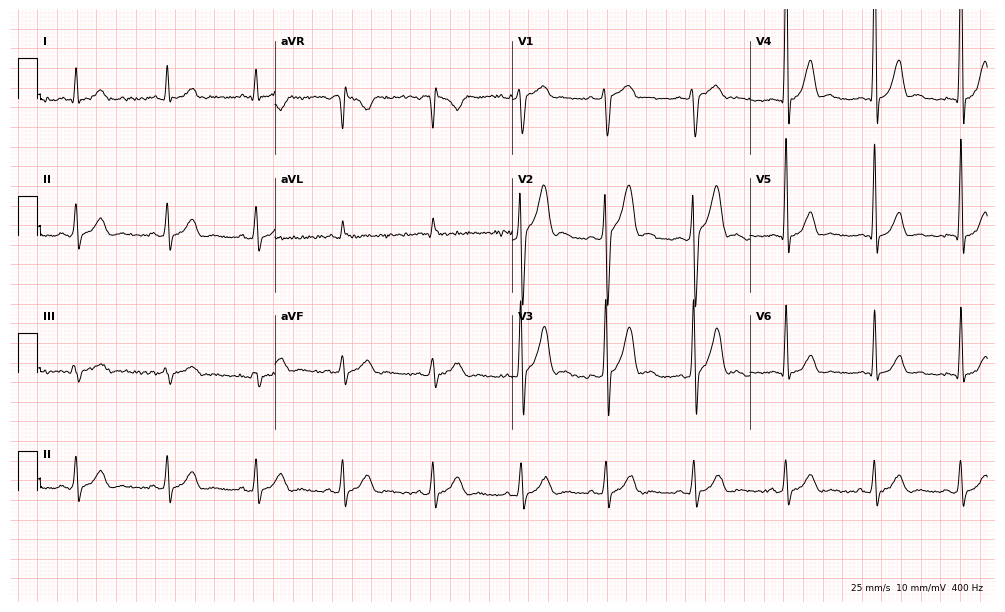
Resting 12-lead electrocardiogram (9.7-second recording at 400 Hz). Patient: a 23-year-old man. None of these six findings is recorded: first-degree AV block, right bundle branch block, left bundle branch block, sinus bradycardia, atrial fibrillation, sinus tachycardia. Other findings, if any, are not listed.